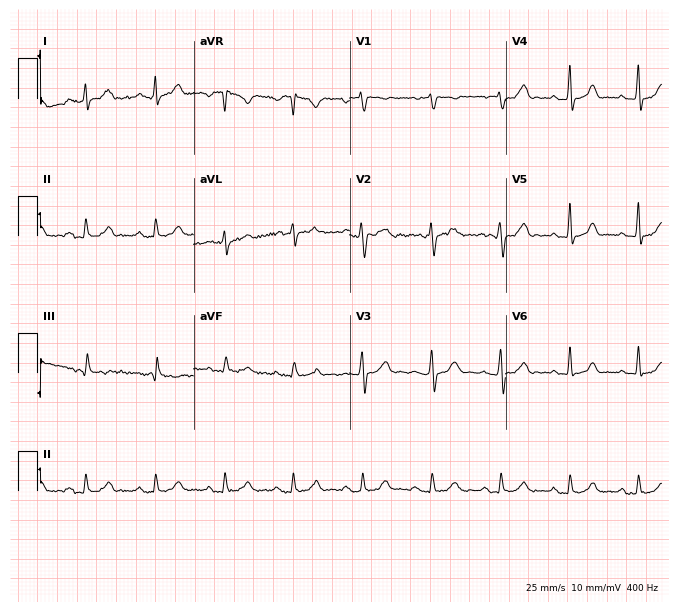
Standard 12-lead ECG recorded from a 28-year-old female. Read as a normal ECG.